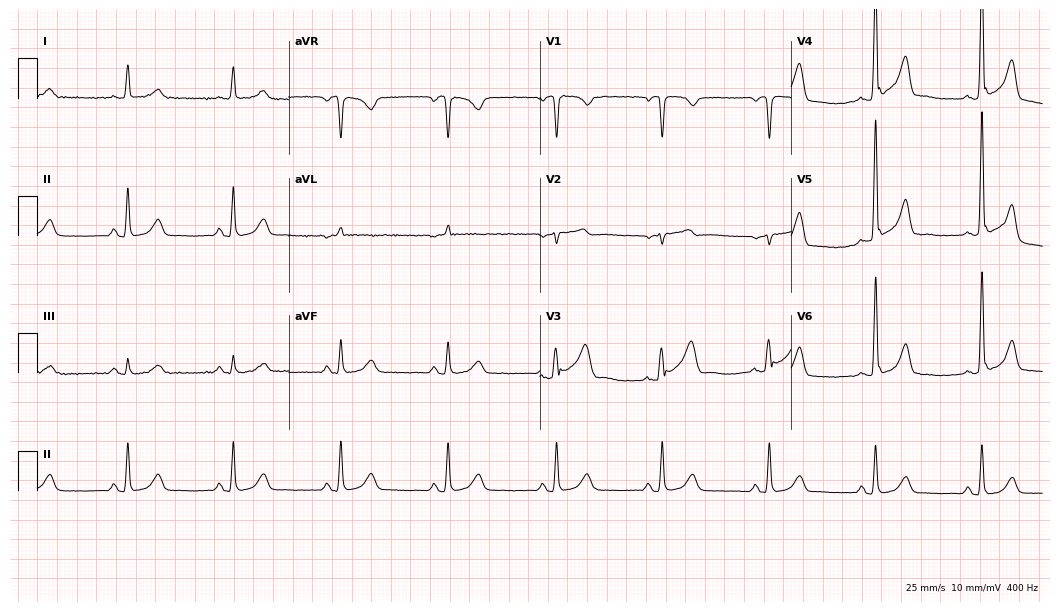
ECG — a man, 62 years old. Screened for six findings — first-degree AV block, right bundle branch block, left bundle branch block, sinus bradycardia, atrial fibrillation, sinus tachycardia — none is recorded. Other findings, if any, are not listed.